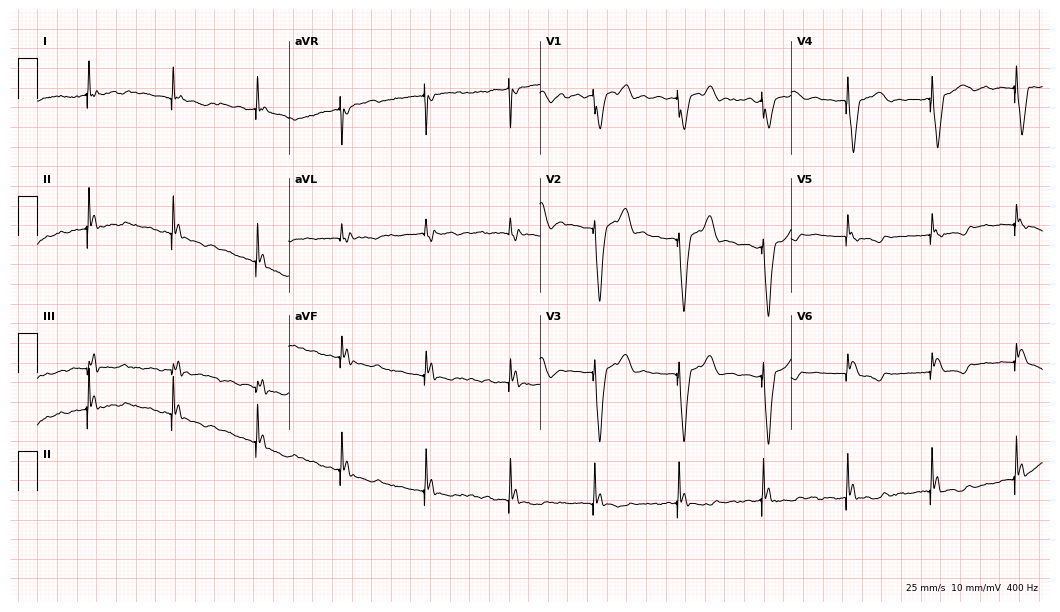
ECG (10.2-second recording at 400 Hz) — a female, 63 years old. Screened for six findings — first-degree AV block, right bundle branch block, left bundle branch block, sinus bradycardia, atrial fibrillation, sinus tachycardia — none is recorded. Other findings, if any, are not listed.